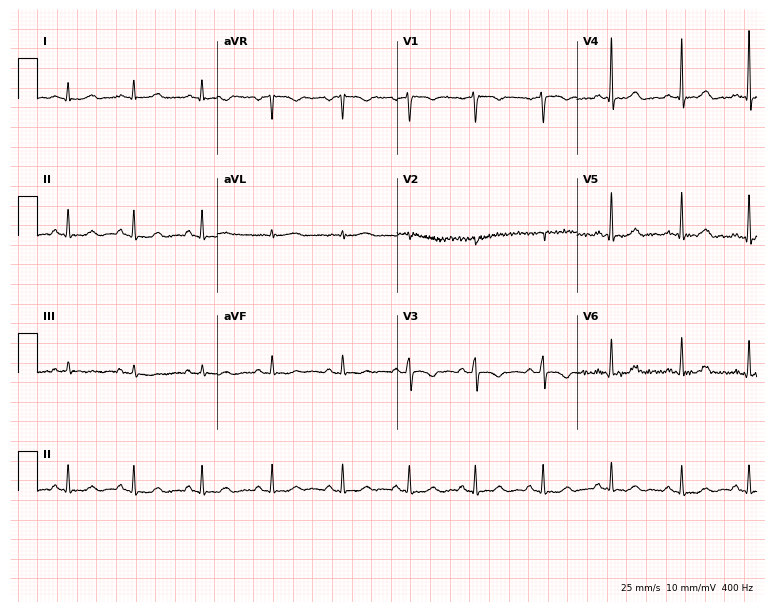
Electrocardiogram (7.3-second recording at 400 Hz), a woman, 23 years old. Overall reading on record: normal ECG.